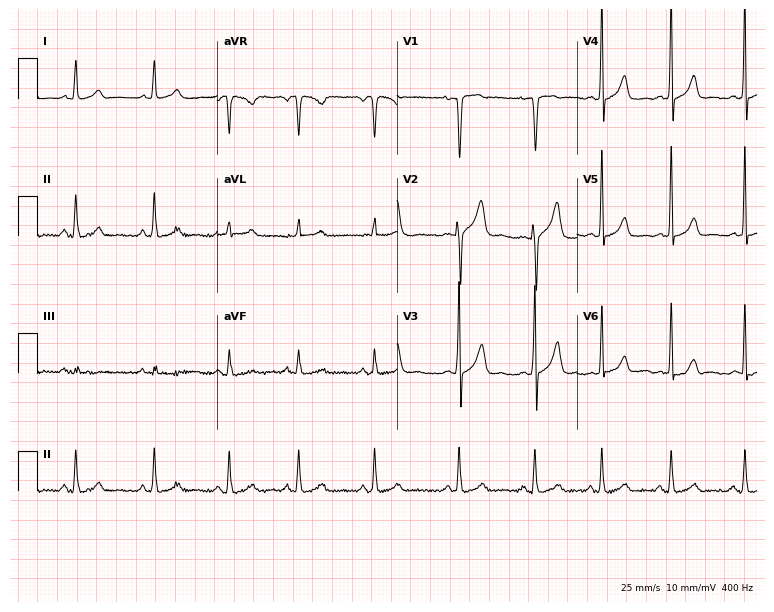
Electrocardiogram, a female, 17 years old. Overall reading on record: normal ECG.